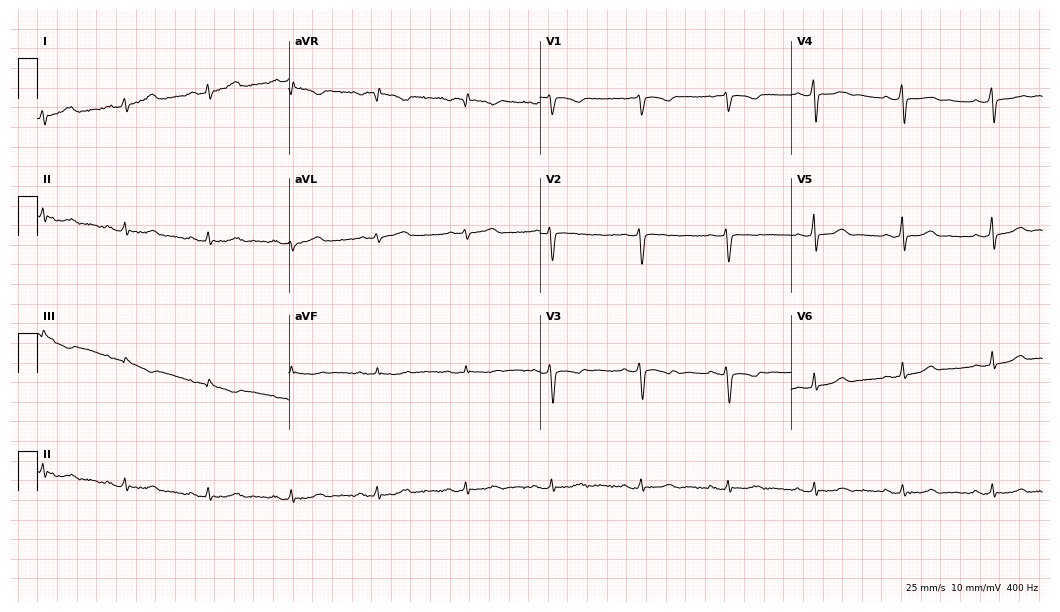
Resting 12-lead electrocardiogram. Patient: a woman, 42 years old. None of these six findings is recorded: first-degree AV block, right bundle branch block, left bundle branch block, sinus bradycardia, atrial fibrillation, sinus tachycardia. Other findings, if any, are not listed.